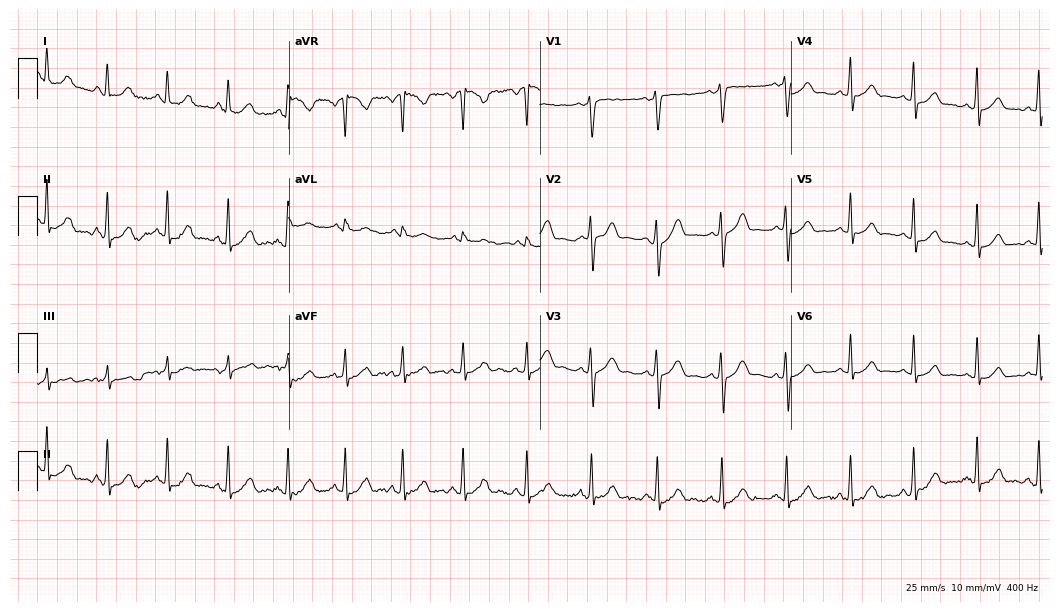
12-lead ECG from a 38-year-old woman. Recorded interpretation: within normal limits.